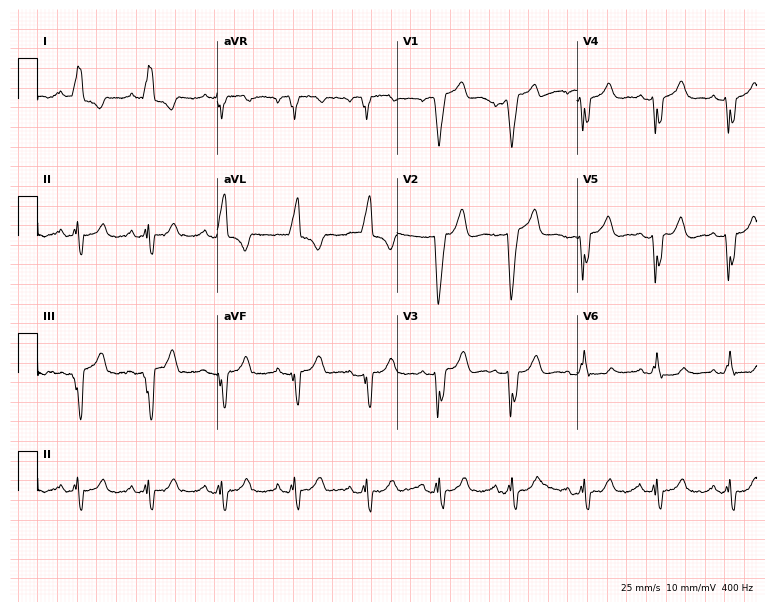
12-lead ECG from a 67-year-old female. Findings include left bundle branch block.